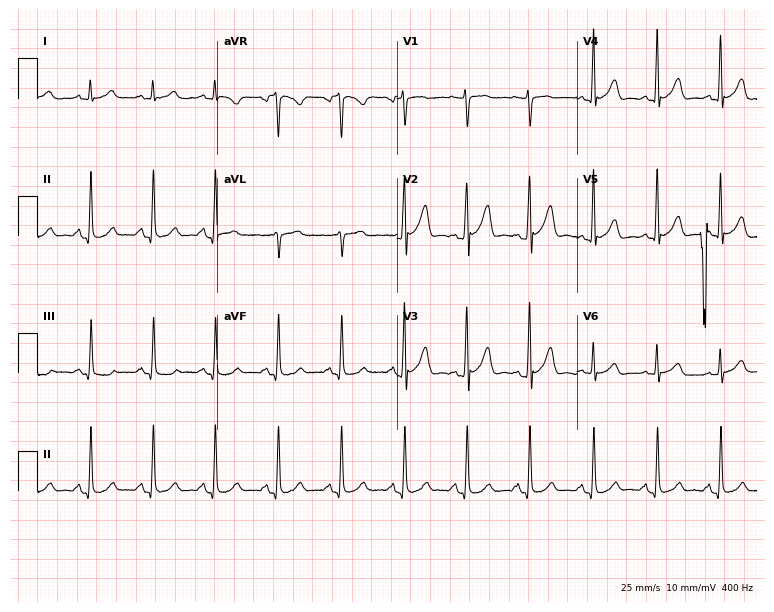
12-lead ECG (7.3-second recording at 400 Hz) from a 42-year-old man. Screened for six findings — first-degree AV block, right bundle branch block, left bundle branch block, sinus bradycardia, atrial fibrillation, sinus tachycardia — none is recorded.